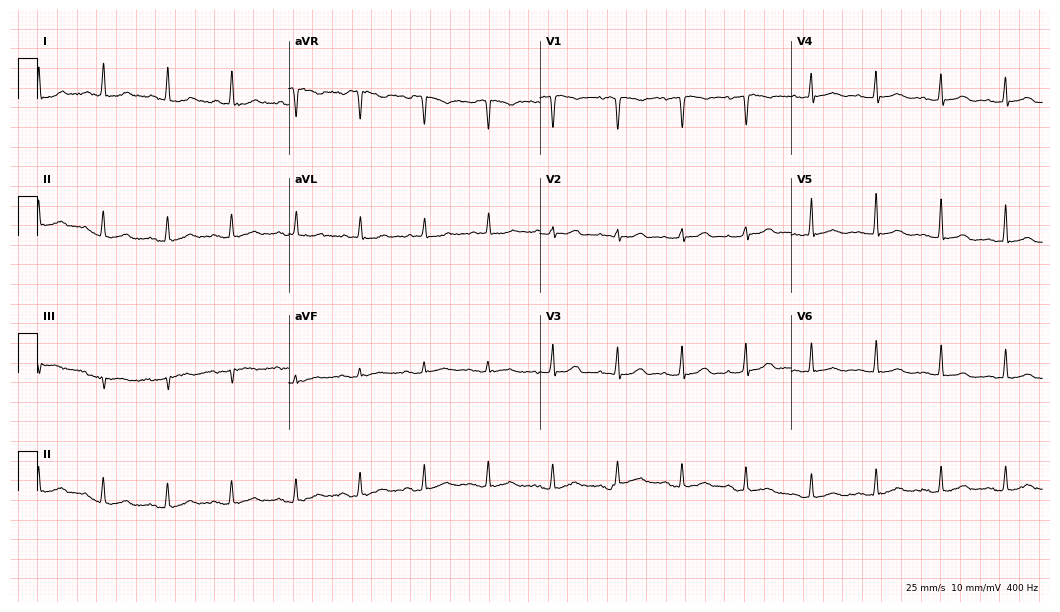
Standard 12-lead ECG recorded from a woman, 82 years old. Read as a normal ECG.